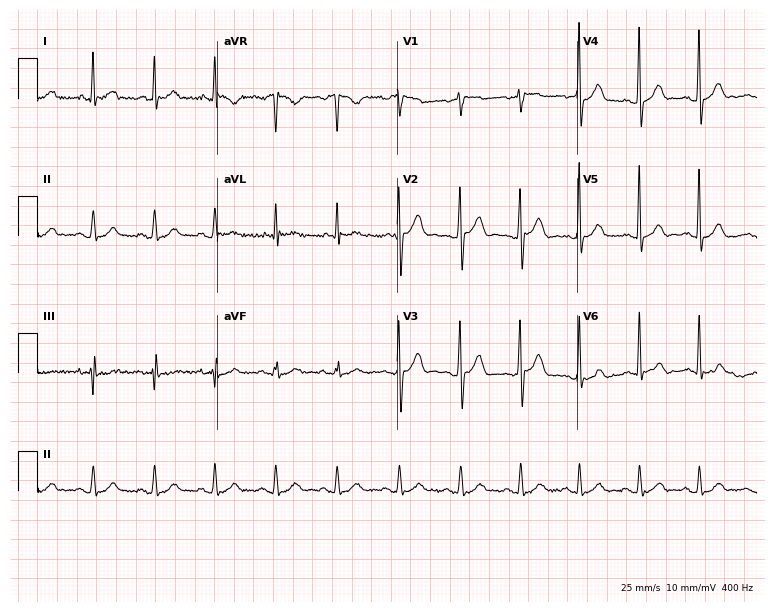
Resting 12-lead electrocardiogram. Patient: a 76-year-old male. Read as a normal ECG.